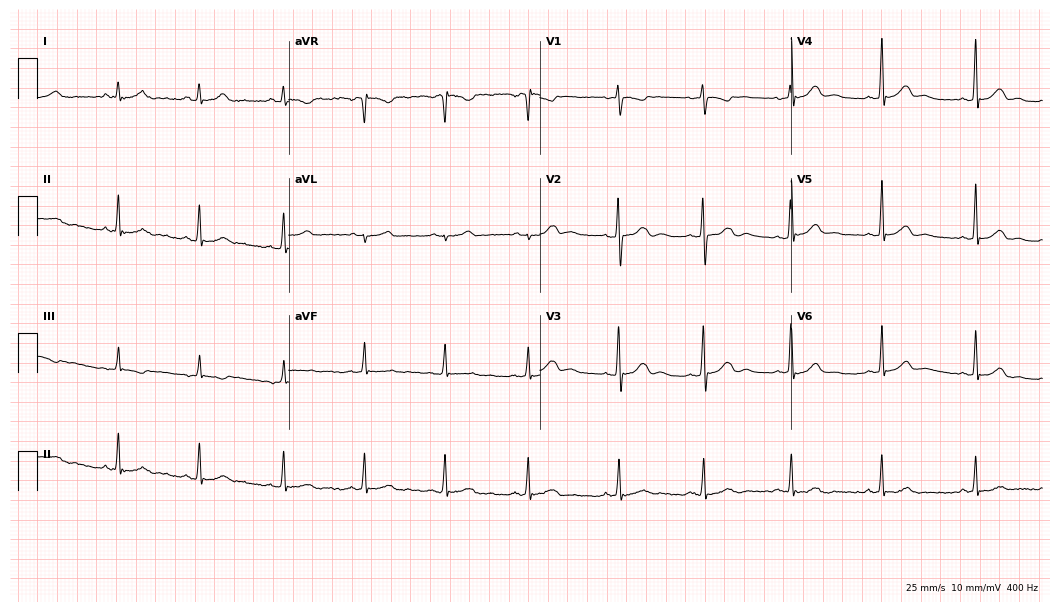
Resting 12-lead electrocardiogram. Patient: a 24-year-old woman. Read as a normal ECG.